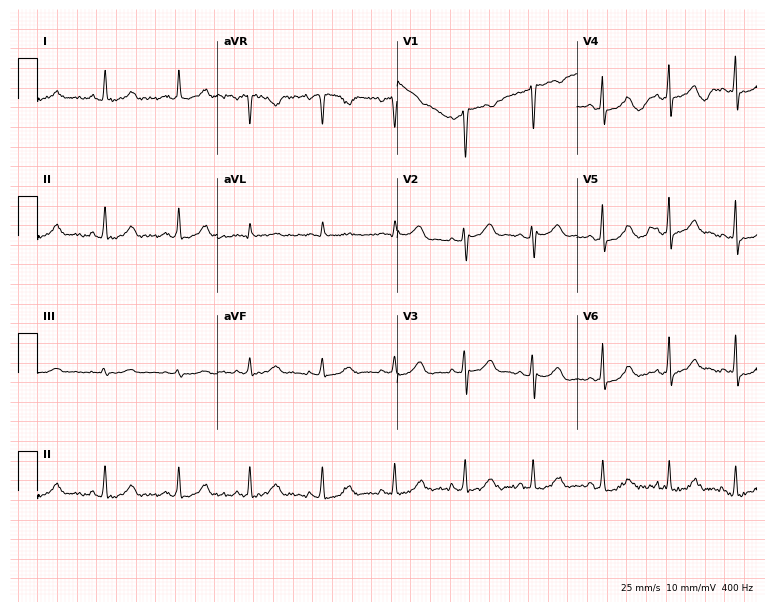
ECG — a woman, 47 years old. Screened for six findings — first-degree AV block, right bundle branch block, left bundle branch block, sinus bradycardia, atrial fibrillation, sinus tachycardia — none is recorded.